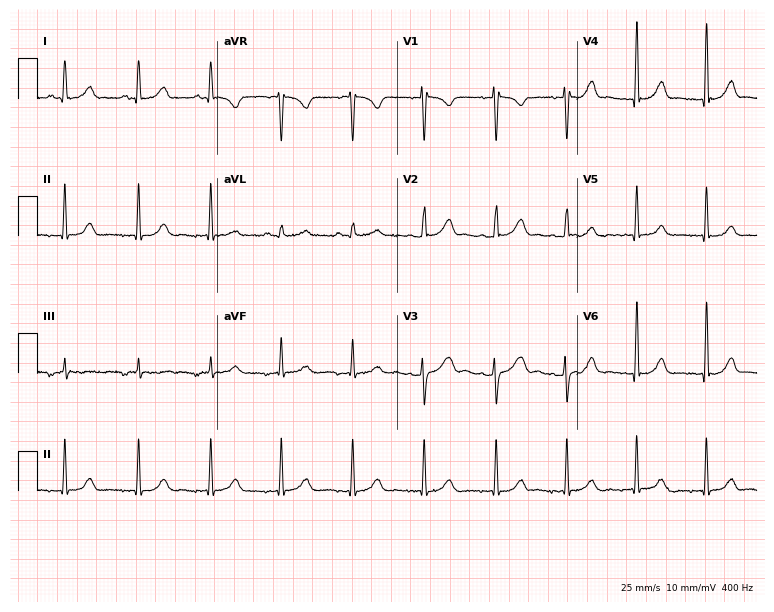
12-lead ECG from a female patient, 36 years old (7.3-second recording at 400 Hz). No first-degree AV block, right bundle branch block (RBBB), left bundle branch block (LBBB), sinus bradycardia, atrial fibrillation (AF) or sinus tachycardia recorded for this tracing.